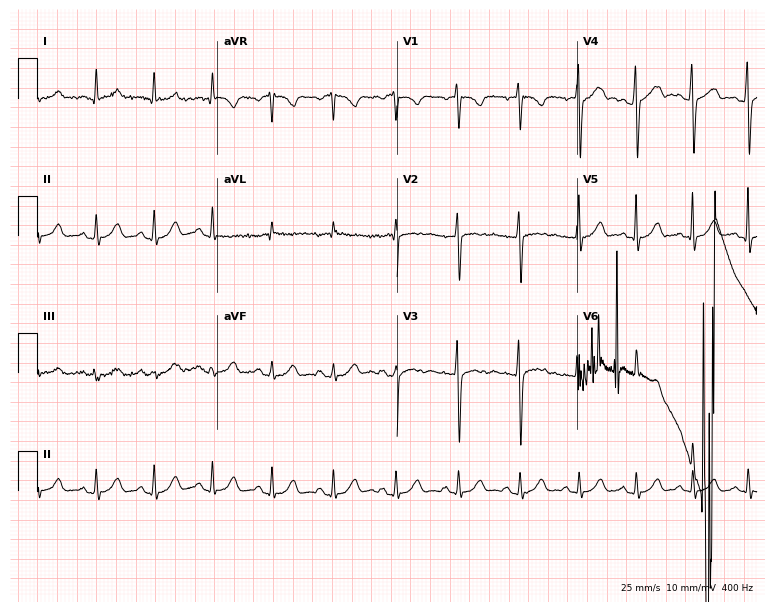
Standard 12-lead ECG recorded from a man, 29 years old. None of these six findings is recorded: first-degree AV block, right bundle branch block, left bundle branch block, sinus bradycardia, atrial fibrillation, sinus tachycardia.